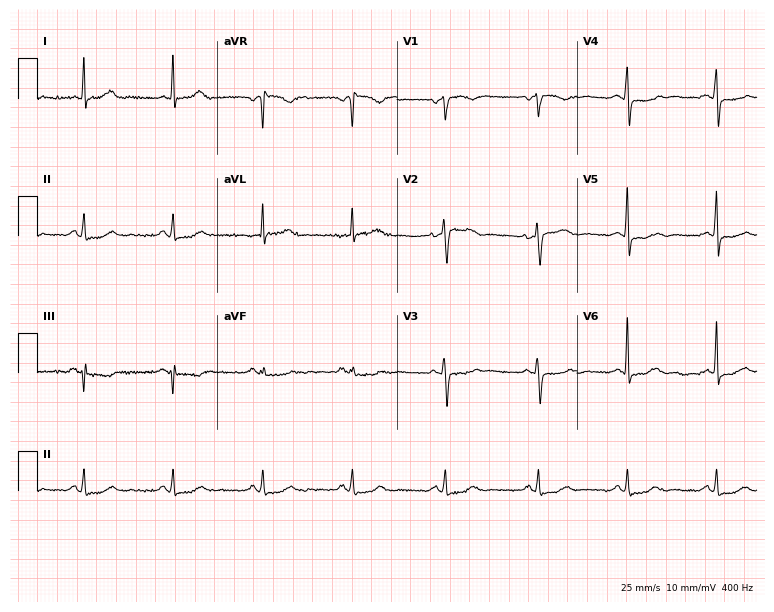
Resting 12-lead electrocardiogram (7.3-second recording at 400 Hz). Patient: a 50-year-old female. None of these six findings is recorded: first-degree AV block, right bundle branch block, left bundle branch block, sinus bradycardia, atrial fibrillation, sinus tachycardia. Other findings, if any, are not listed.